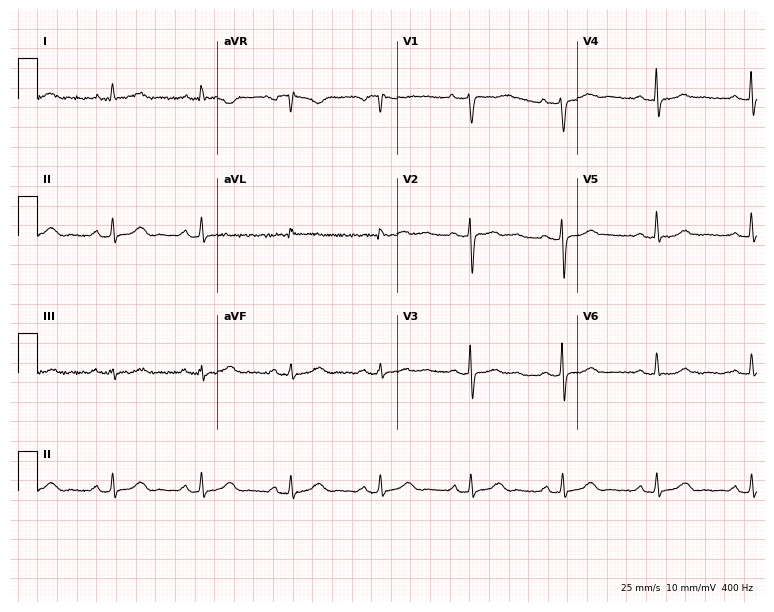
12-lead ECG (7.3-second recording at 400 Hz) from a 43-year-old female patient. Screened for six findings — first-degree AV block, right bundle branch block (RBBB), left bundle branch block (LBBB), sinus bradycardia, atrial fibrillation (AF), sinus tachycardia — none is recorded. Only these six findings were labelled.